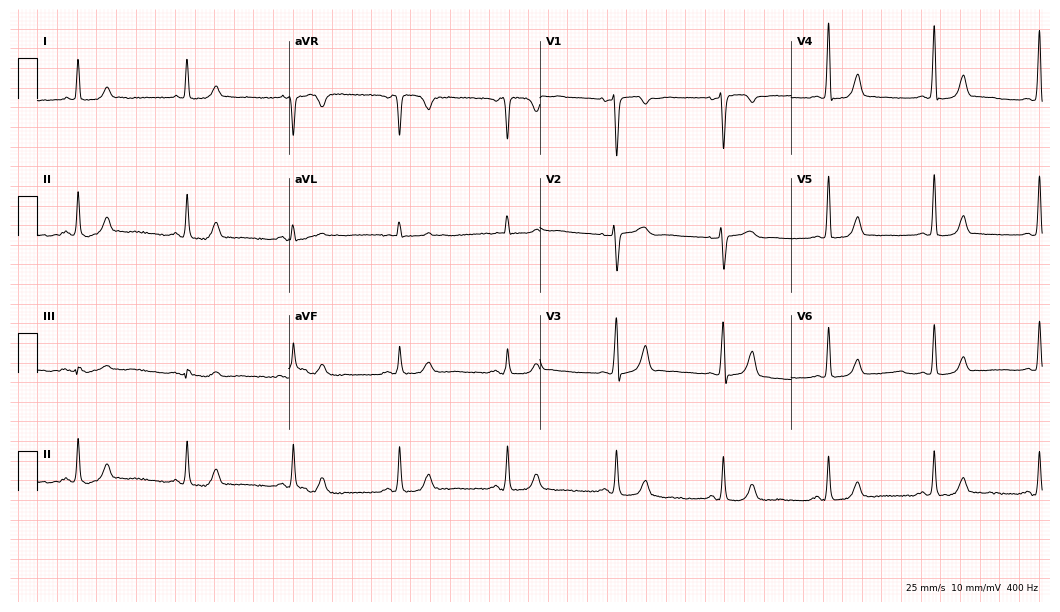
12-lead ECG from a female patient, 56 years old. Screened for six findings — first-degree AV block, right bundle branch block, left bundle branch block, sinus bradycardia, atrial fibrillation, sinus tachycardia — none is recorded.